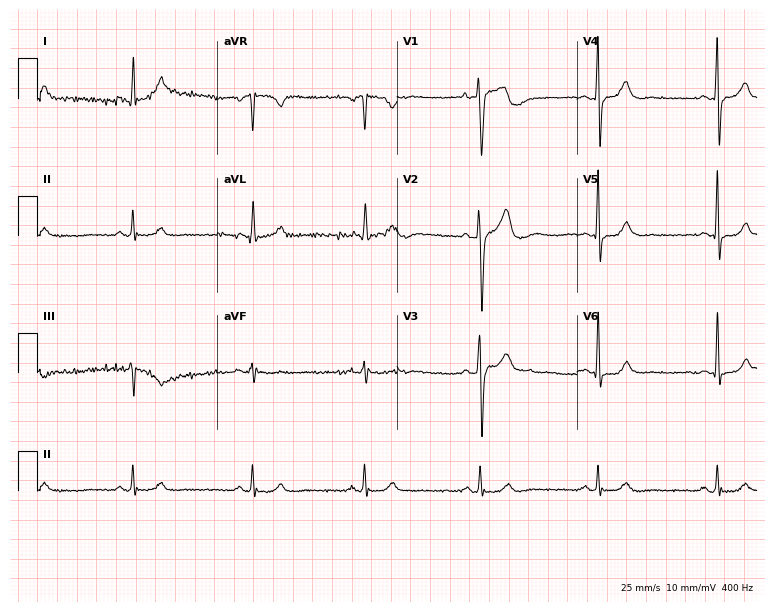
Resting 12-lead electrocardiogram. Patient: a 40-year-old male. Read as a normal ECG.